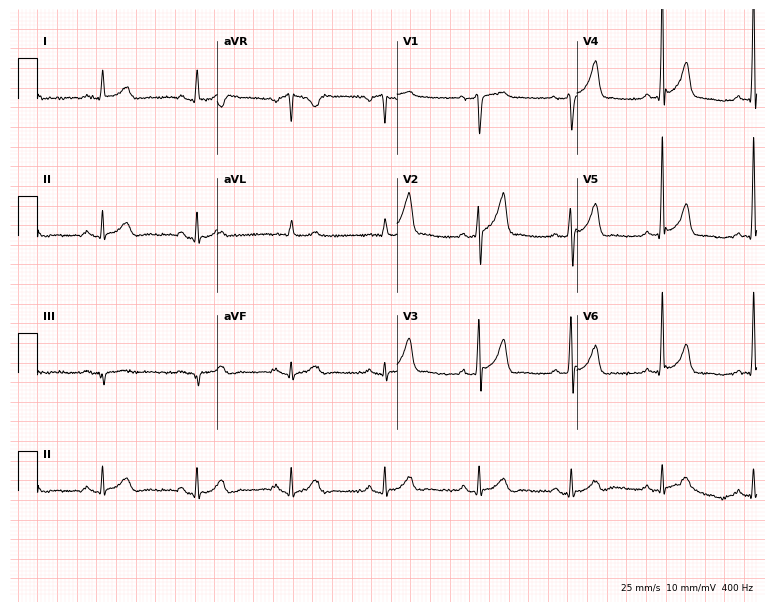
Electrocardiogram, a 68-year-old man. Of the six screened findings (first-degree AV block, right bundle branch block, left bundle branch block, sinus bradycardia, atrial fibrillation, sinus tachycardia), none is recorded. Only these six findings were labelled.